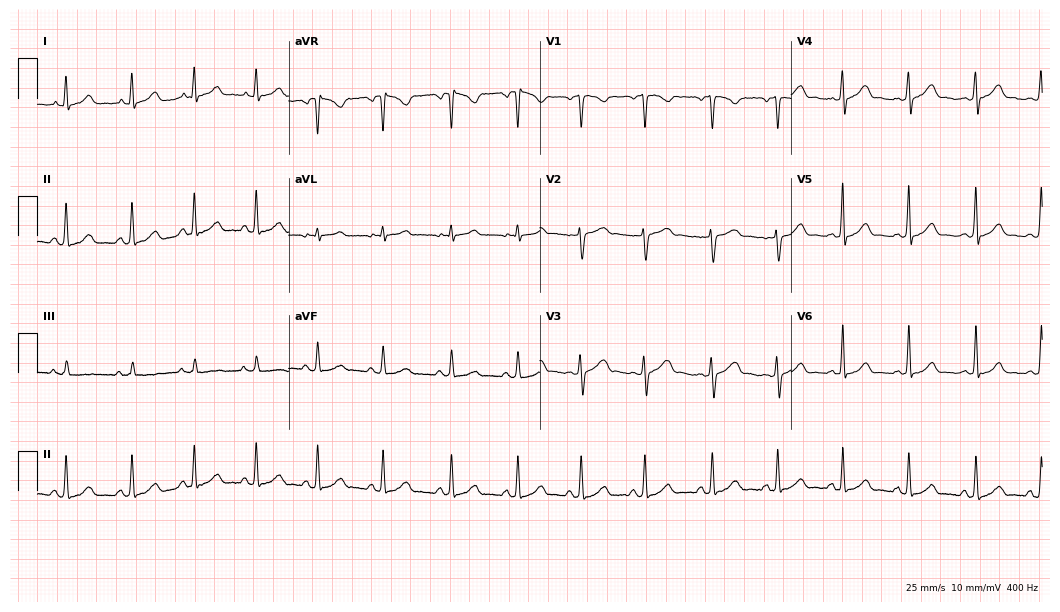
Resting 12-lead electrocardiogram (10.2-second recording at 400 Hz). Patient: a 19-year-old woman. Read as a normal ECG.